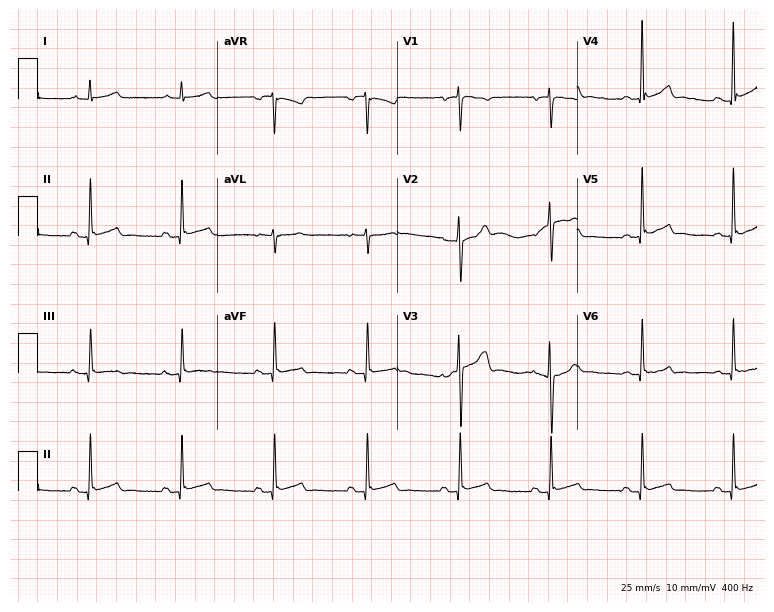
12-lead ECG from a 56-year-old male (7.3-second recording at 400 Hz). No first-degree AV block, right bundle branch block, left bundle branch block, sinus bradycardia, atrial fibrillation or sinus tachycardia recorded for this tracing.